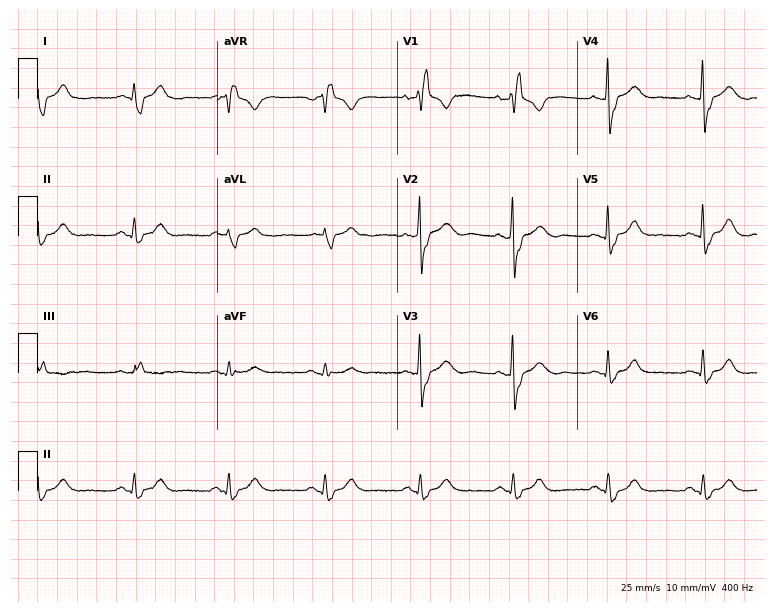
12-lead ECG (7.3-second recording at 400 Hz) from a 60-year-old male patient. Findings include right bundle branch block (RBBB).